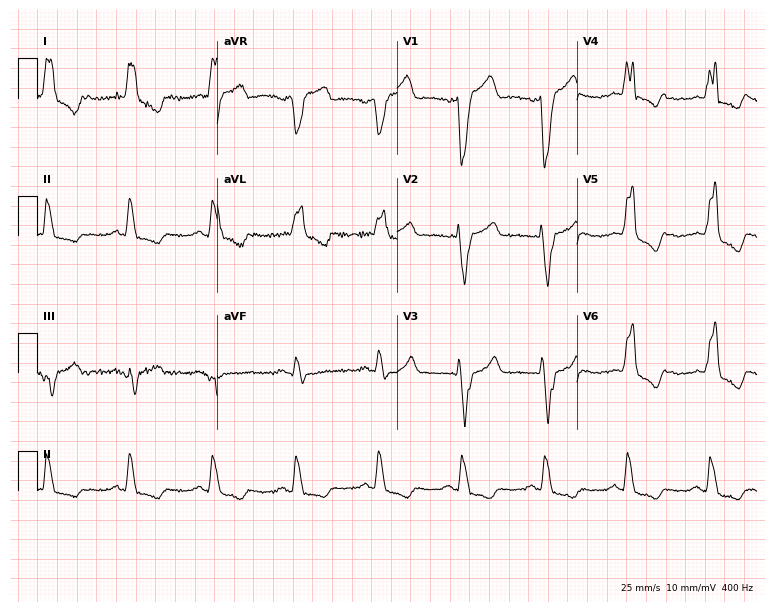
Standard 12-lead ECG recorded from a female, 71 years old. None of these six findings is recorded: first-degree AV block, right bundle branch block, left bundle branch block, sinus bradycardia, atrial fibrillation, sinus tachycardia. Findings outside these six are not listed.